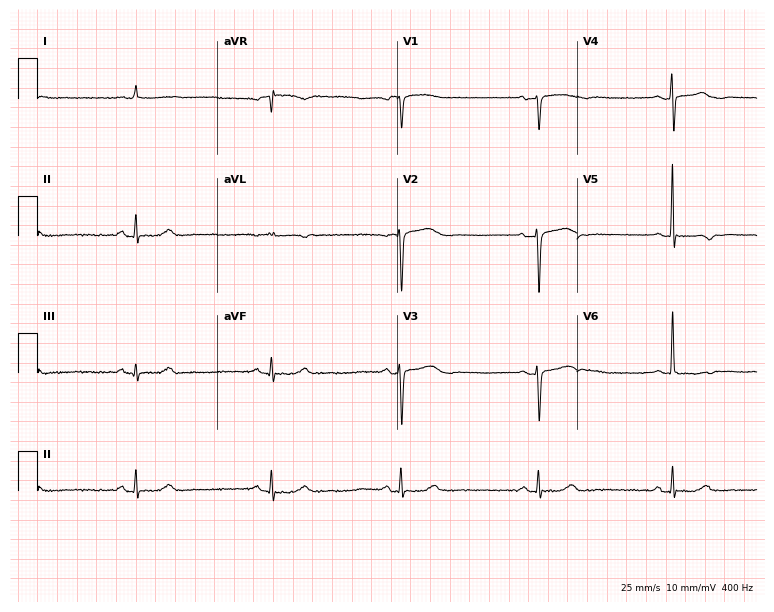
Resting 12-lead electrocardiogram. Patient: an 81-year-old woman. The tracing shows sinus bradycardia (a sinus rate of 50 beats per minute or less).